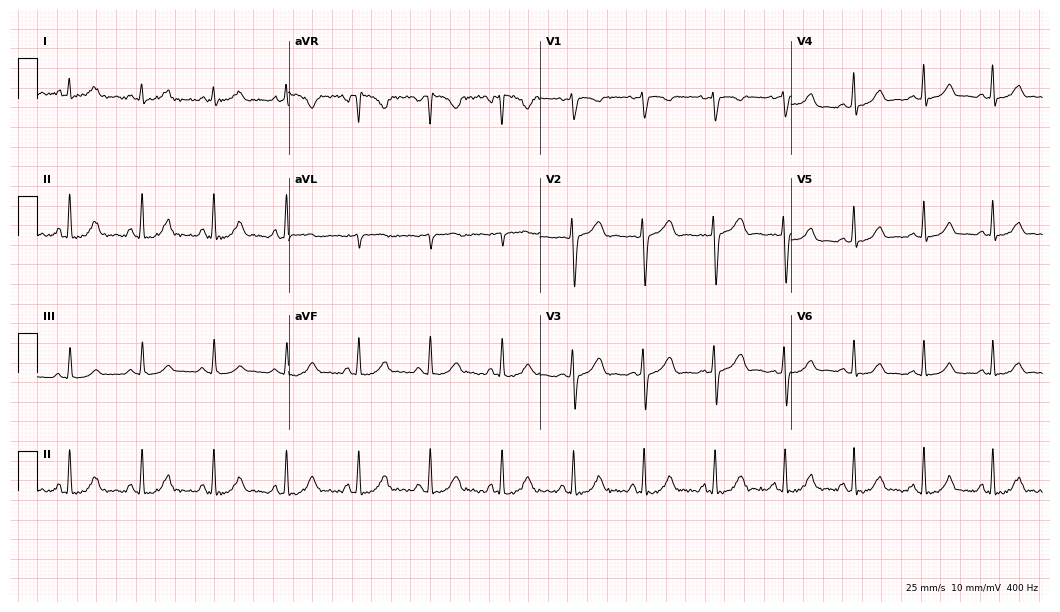
Standard 12-lead ECG recorded from a 32-year-old female patient. Read as a normal ECG.